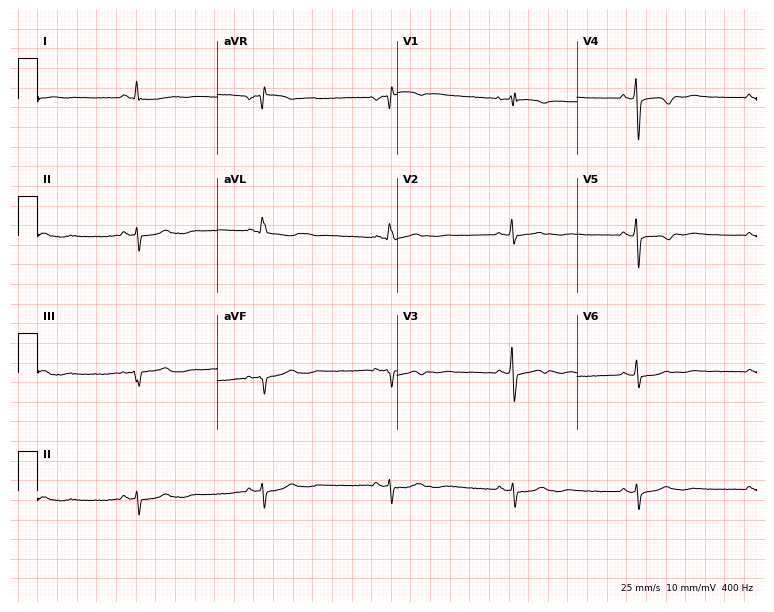
ECG — a woman, 58 years old. Screened for six findings — first-degree AV block, right bundle branch block (RBBB), left bundle branch block (LBBB), sinus bradycardia, atrial fibrillation (AF), sinus tachycardia — none is recorded. Other findings, if any, are not listed.